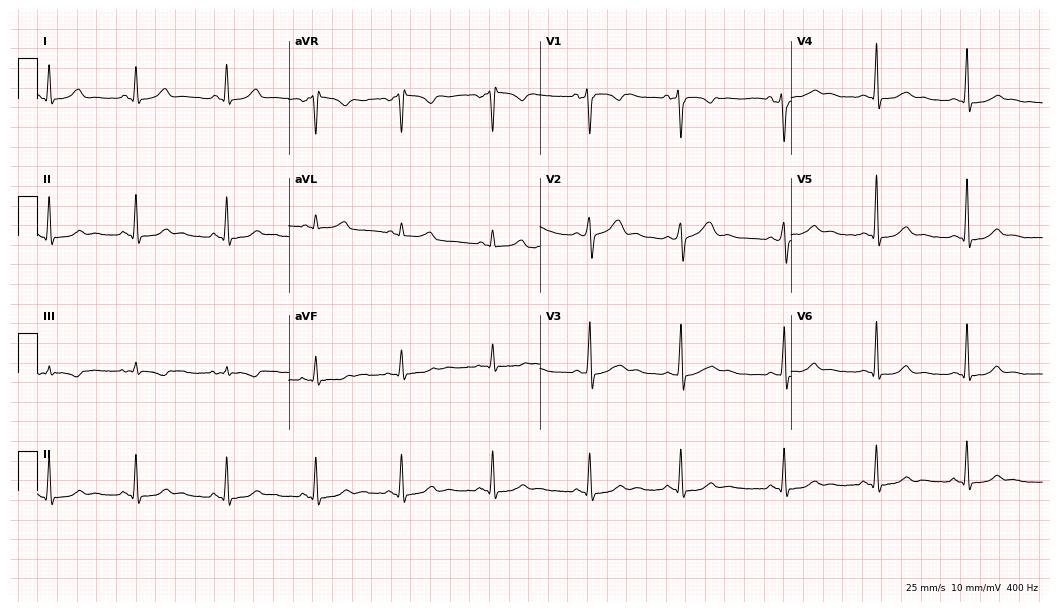
Electrocardiogram, a 31-year-old woman. Overall reading on record: normal ECG.